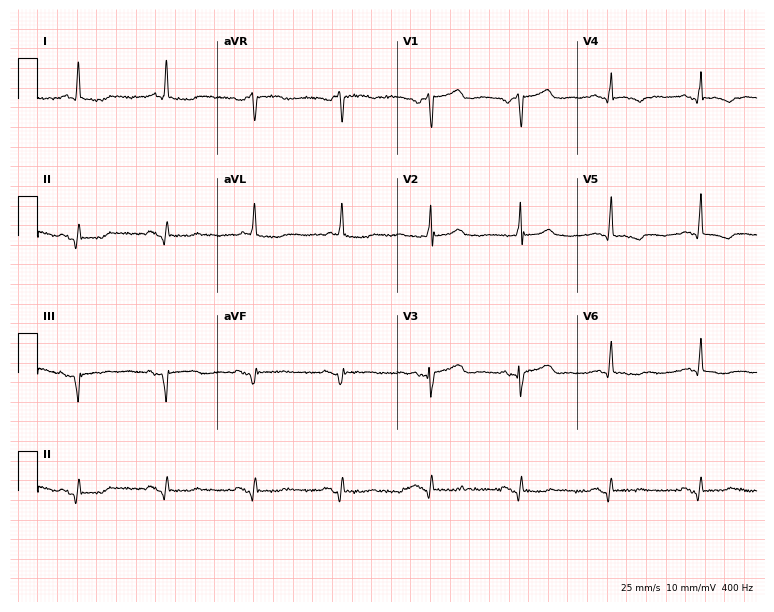
12-lead ECG from a 67-year-old male. No first-degree AV block, right bundle branch block, left bundle branch block, sinus bradycardia, atrial fibrillation or sinus tachycardia recorded for this tracing. Other findings, if any, are not listed.